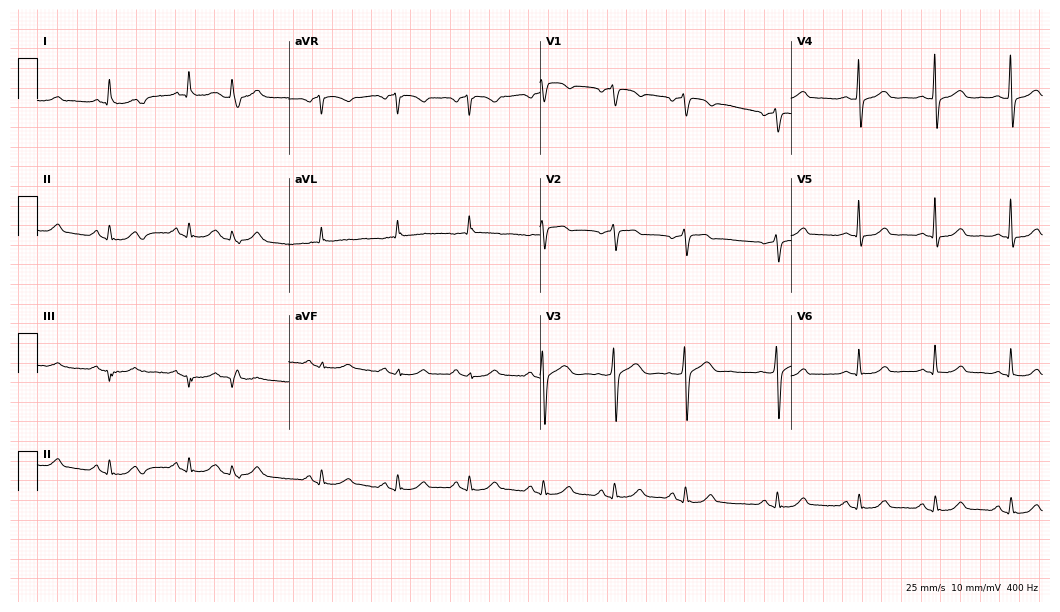
Standard 12-lead ECG recorded from a 56-year-old female. Read as a normal ECG.